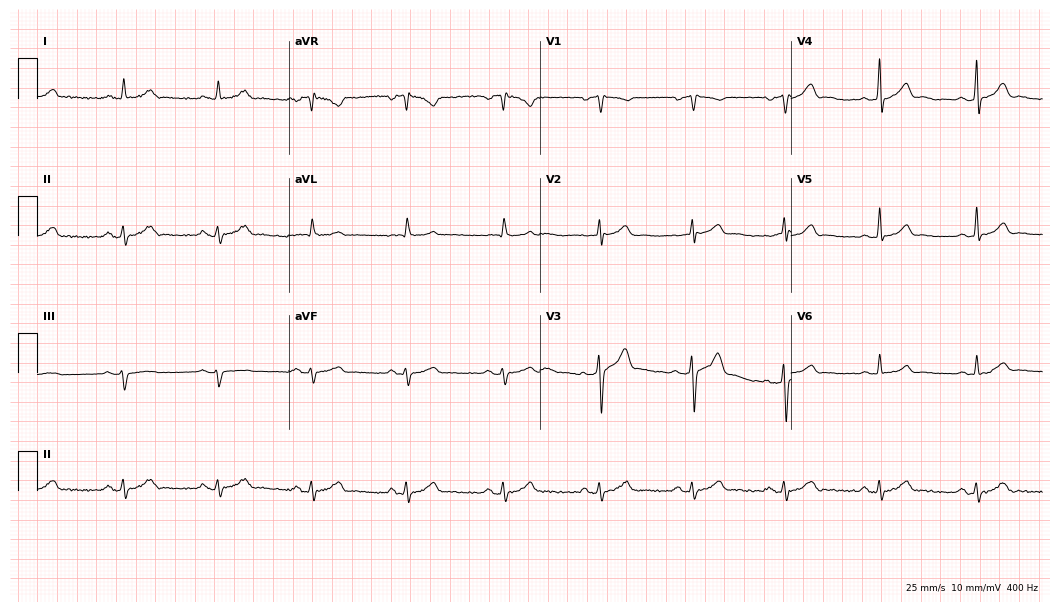
Electrocardiogram (10.2-second recording at 400 Hz), a 55-year-old man. Overall reading on record: normal ECG.